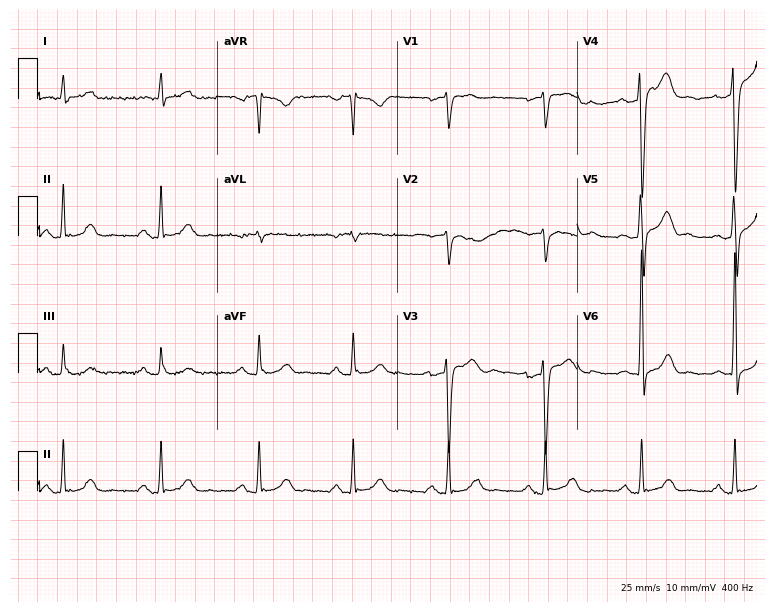
Standard 12-lead ECG recorded from a 60-year-old male. None of these six findings is recorded: first-degree AV block, right bundle branch block, left bundle branch block, sinus bradycardia, atrial fibrillation, sinus tachycardia. Findings outside these six are not listed.